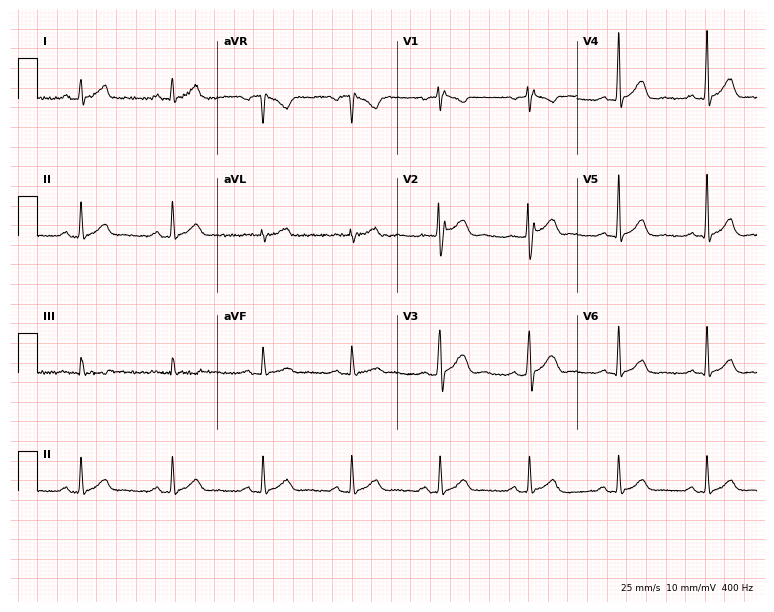
Standard 12-lead ECG recorded from a male, 44 years old. None of these six findings is recorded: first-degree AV block, right bundle branch block (RBBB), left bundle branch block (LBBB), sinus bradycardia, atrial fibrillation (AF), sinus tachycardia.